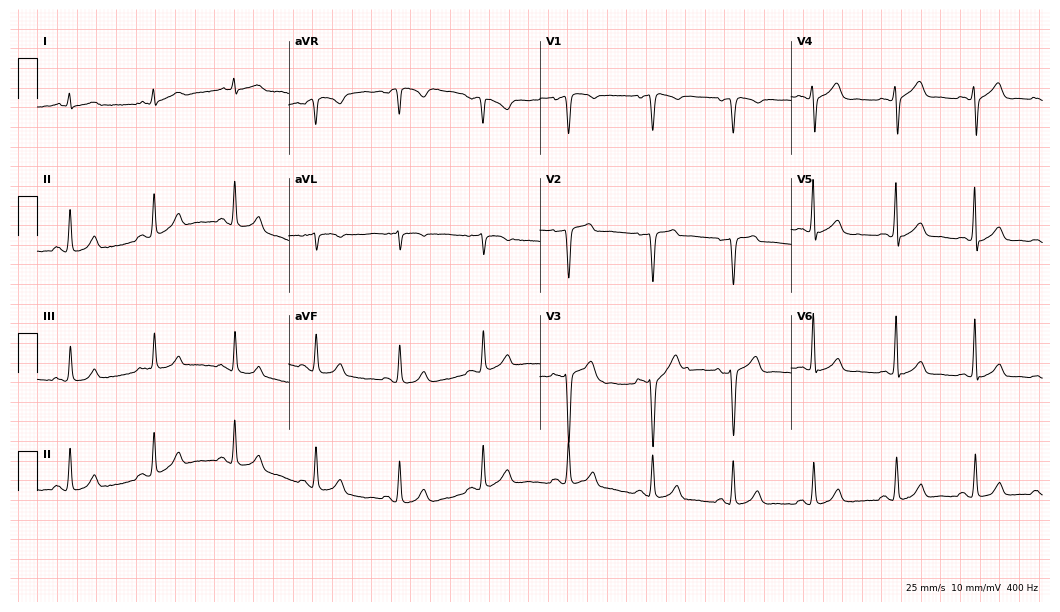
12-lead ECG from a male patient, 48 years old. No first-degree AV block, right bundle branch block (RBBB), left bundle branch block (LBBB), sinus bradycardia, atrial fibrillation (AF) or sinus tachycardia recorded for this tracing.